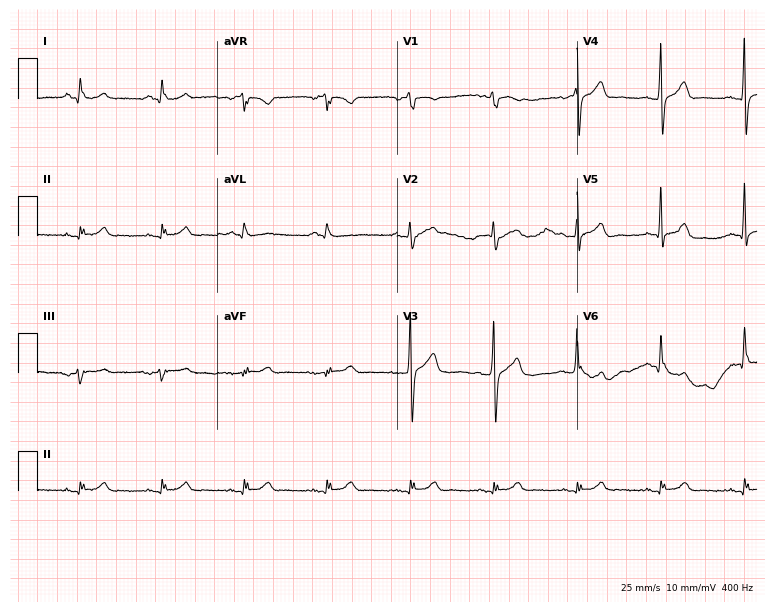
Resting 12-lead electrocardiogram. Patient: a 77-year-old man. None of these six findings is recorded: first-degree AV block, right bundle branch block (RBBB), left bundle branch block (LBBB), sinus bradycardia, atrial fibrillation (AF), sinus tachycardia.